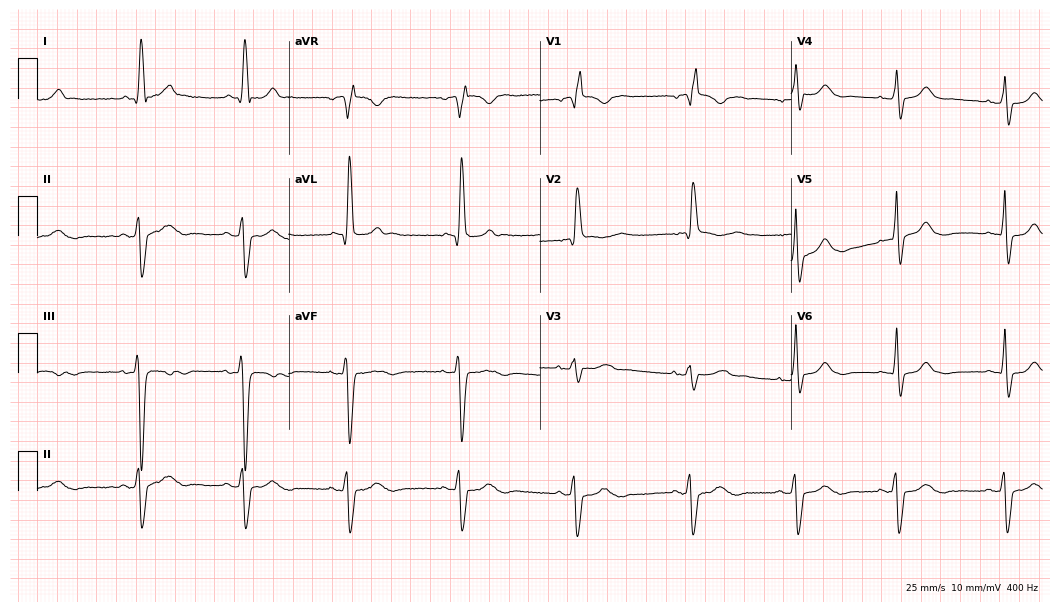
Resting 12-lead electrocardiogram (10.2-second recording at 400 Hz). Patient: a 75-year-old woman. None of these six findings is recorded: first-degree AV block, right bundle branch block, left bundle branch block, sinus bradycardia, atrial fibrillation, sinus tachycardia. Other findings, if any, are not listed.